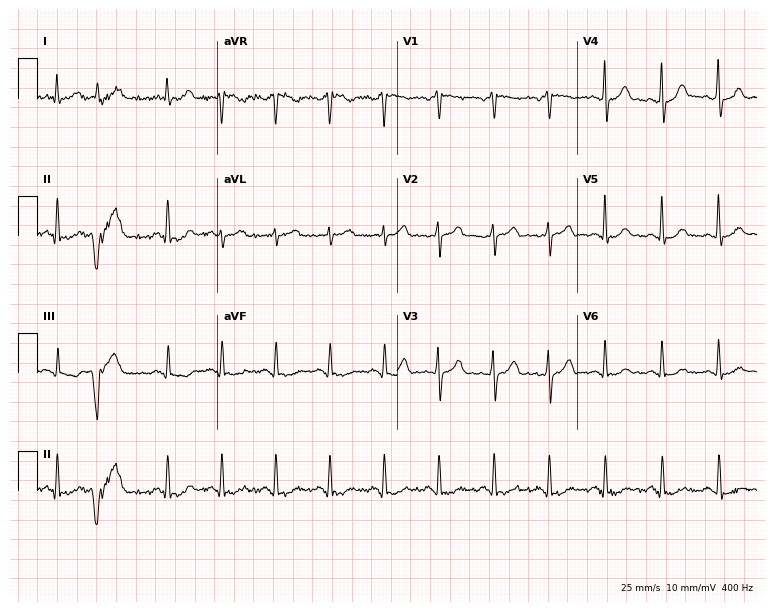
Standard 12-lead ECG recorded from a 56-year-old man (7.3-second recording at 400 Hz). The tracing shows sinus tachycardia (a sinus rate of 100 beats per minute or more).